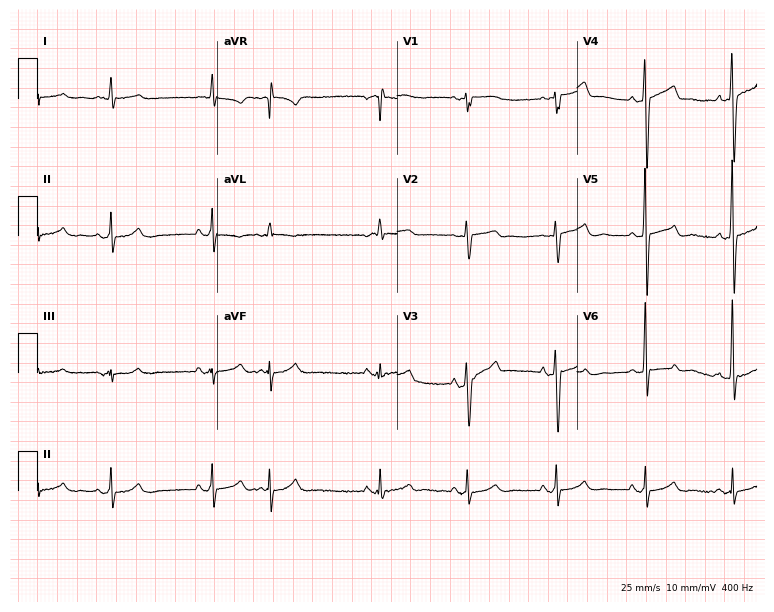
12-lead ECG (7.3-second recording at 400 Hz) from a man, 68 years old. Screened for six findings — first-degree AV block, right bundle branch block, left bundle branch block, sinus bradycardia, atrial fibrillation, sinus tachycardia — none is recorded.